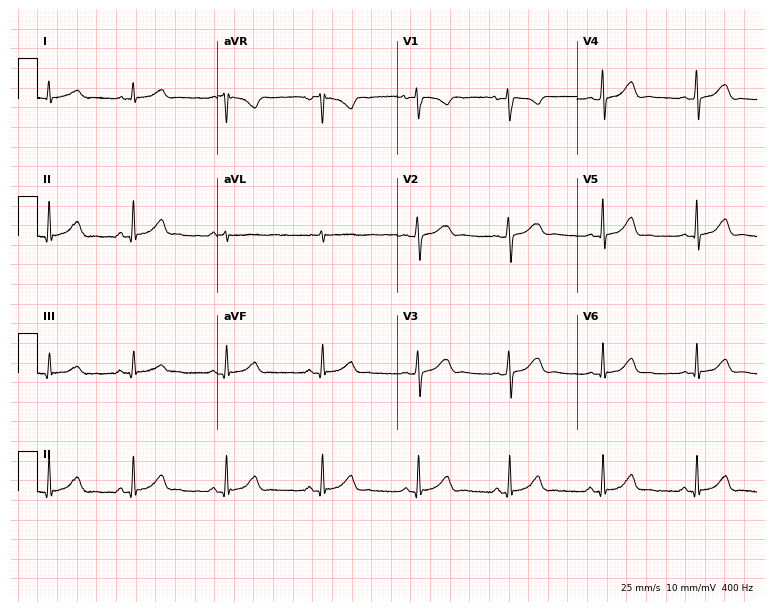
Resting 12-lead electrocardiogram. Patient: a female, 21 years old. None of these six findings is recorded: first-degree AV block, right bundle branch block (RBBB), left bundle branch block (LBBB), sinus bradycardia, atrial fibrillation (AF), sinus tachycardia. Other findings, if any, are not listed.